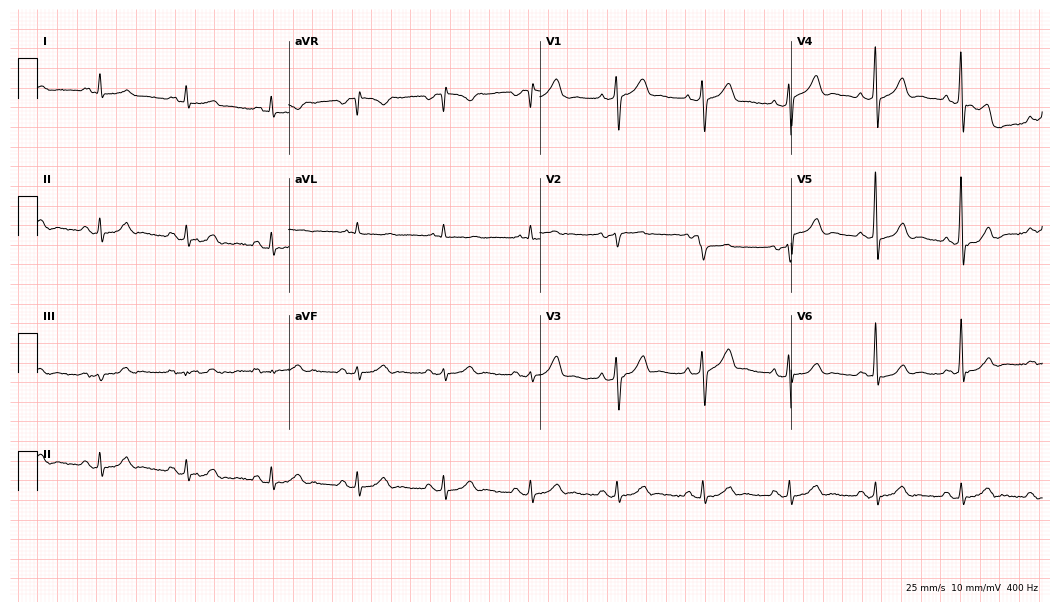
Standard 12-lead ECG recorded from a 64-year-old man. Read as a normal ECG.